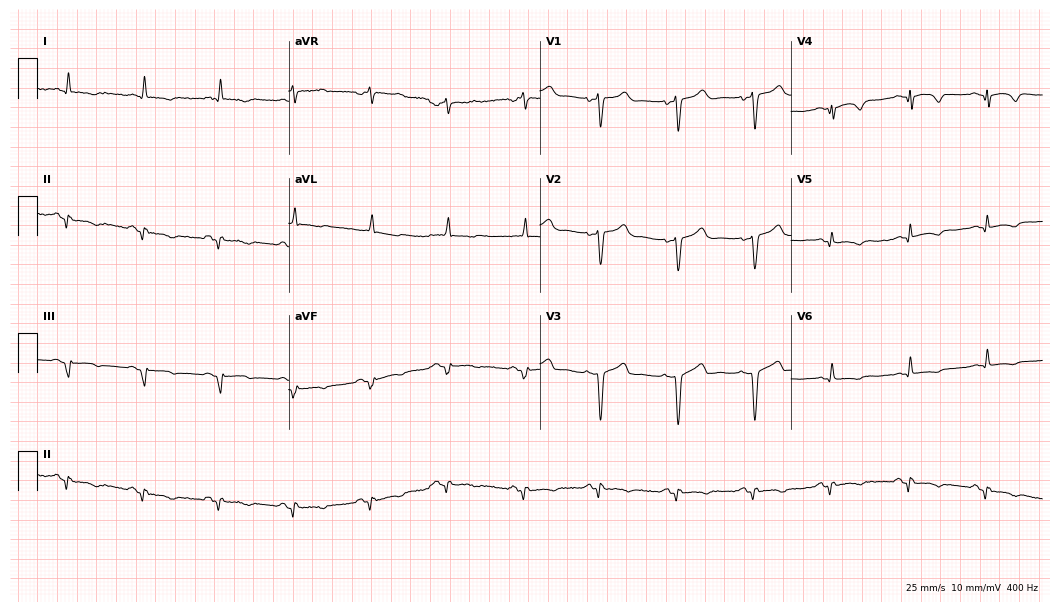
Electrocardiogram (10.2-second recording at 400 Hz), a male, 65 years old. Of the six screened findings (first-degree AV block, right bundle branch block, left bundle branch block, sinus bradycardia, atrial fibrillation, sinus tachycardia), none is recorded.